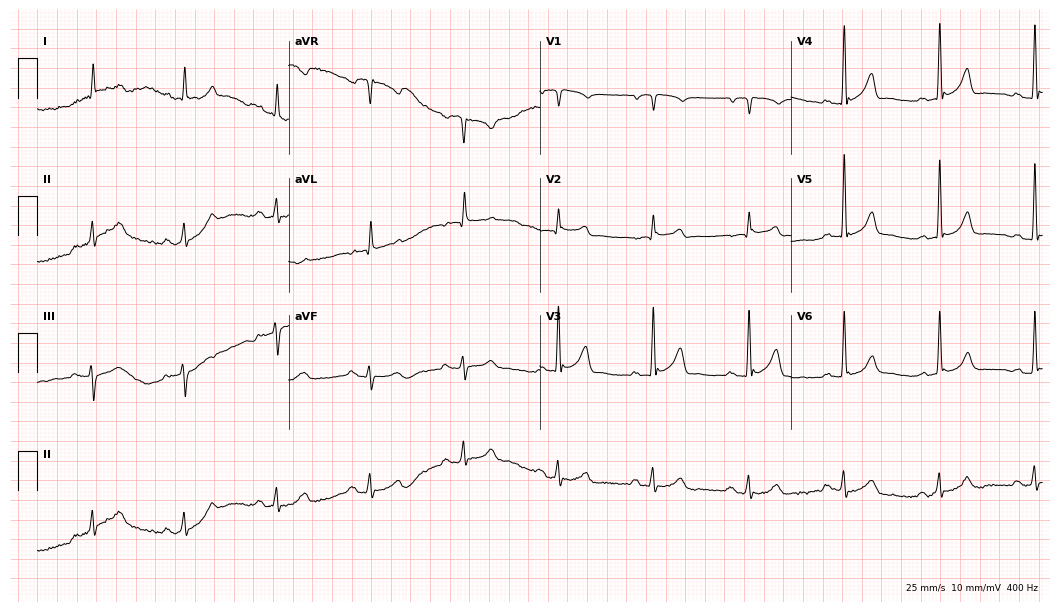
Electrocardiogram, a 78-year-old male patient. Of the six screened findings (first-degree AV block, right bundle branch block, left bundle branch block, sinus bradycardia, atrial fibrillation, sinus tachycardia), none is recorded. Only these six findings were labelled.